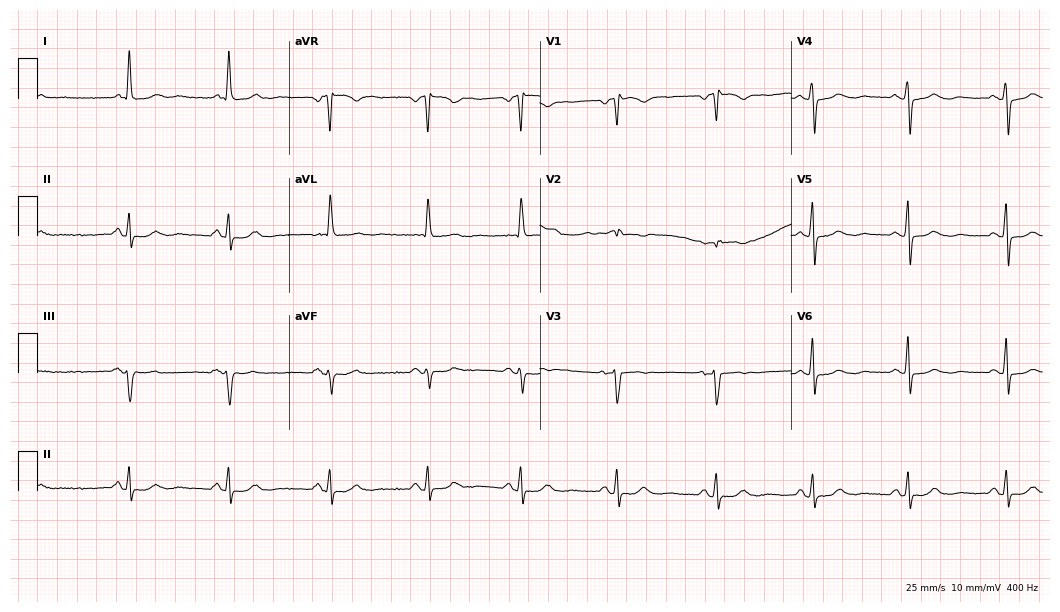
Electrocardiogram, a 77-year-old woman. Of the six screened findings (first-degree AV block, right bundle branch block (RBBB), left bundle branch block (LBBB), sinus bradycardia, atrial fibrillation (AF), sinus tachycardia), none is recorded.